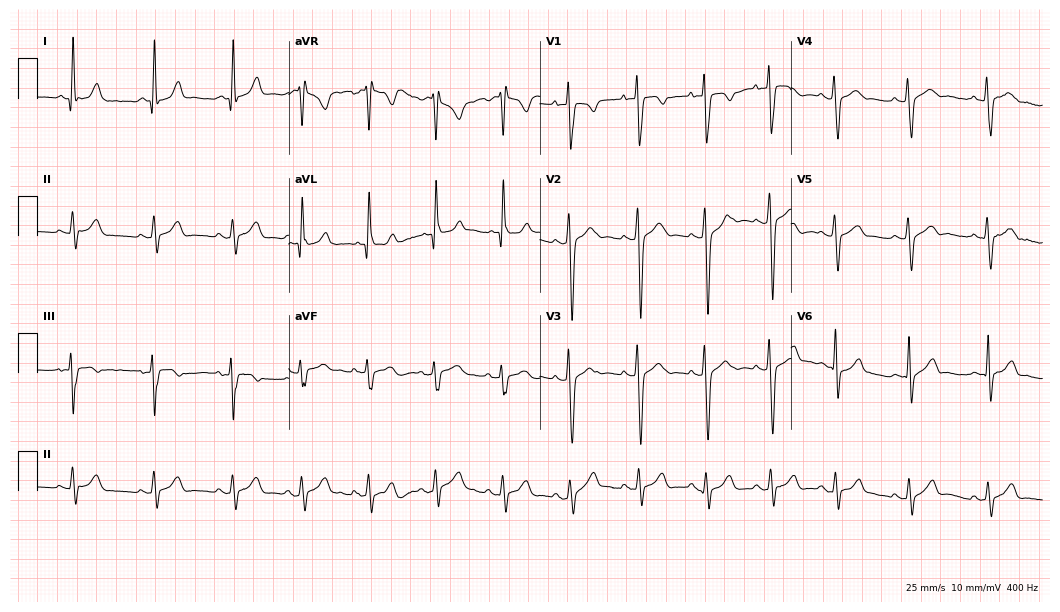
Standard 12-lead ECG recorded from a 19-year-old male patient. Read as a normal ECG.